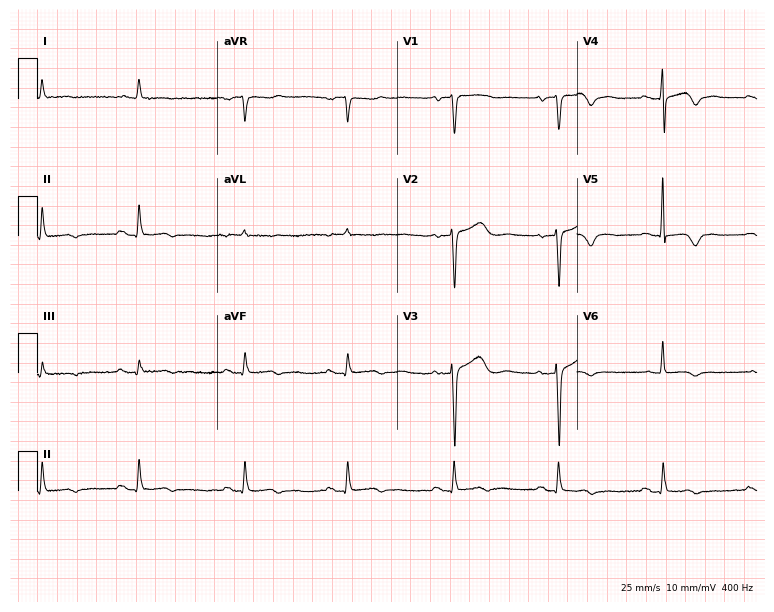
Standard 12-lead ECG recorded from a woman, 85 years old (7.3-second recording at 400 Hz). None of these six findings is recorded: first-degree AV block, right bundle branch block, left bundle branch block, sinus bradycardia, atrial fibrillation, sinus tachycardia. Findings outside these six are not listed.